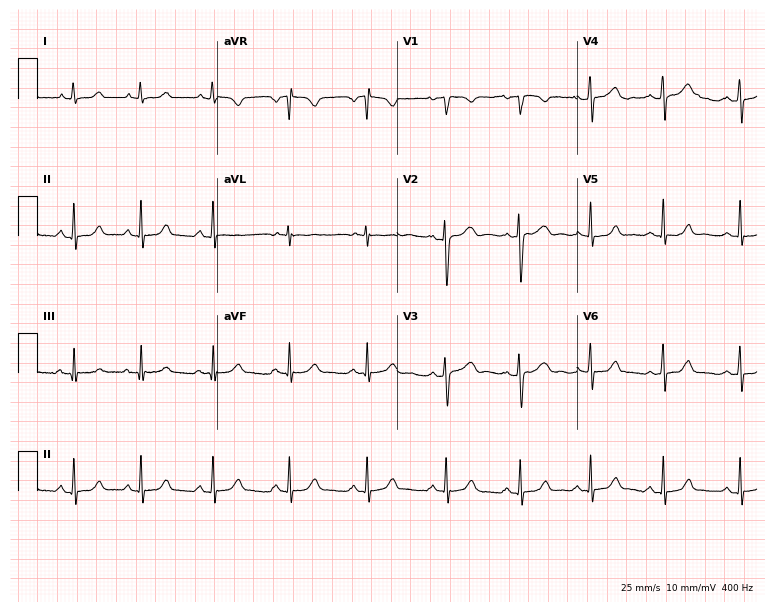
ECG — a female patient, 21 years old. Labelled as a normal ECG.